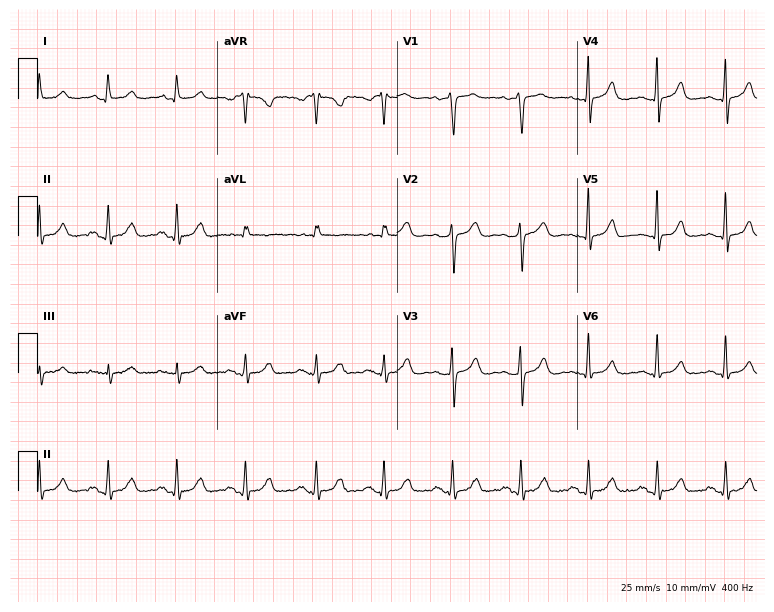
Resting 12-lead electrocardiogram. Patient: a female, 64 years old. Read as a normal ECG.